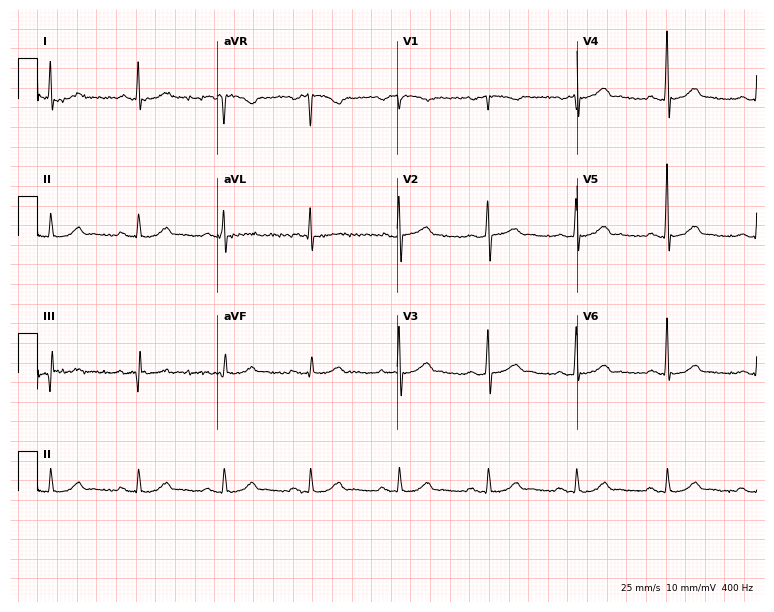
Resting 12-lead electrocardiogram. Patient: a male, 77 years old. Read as a normal ECG.